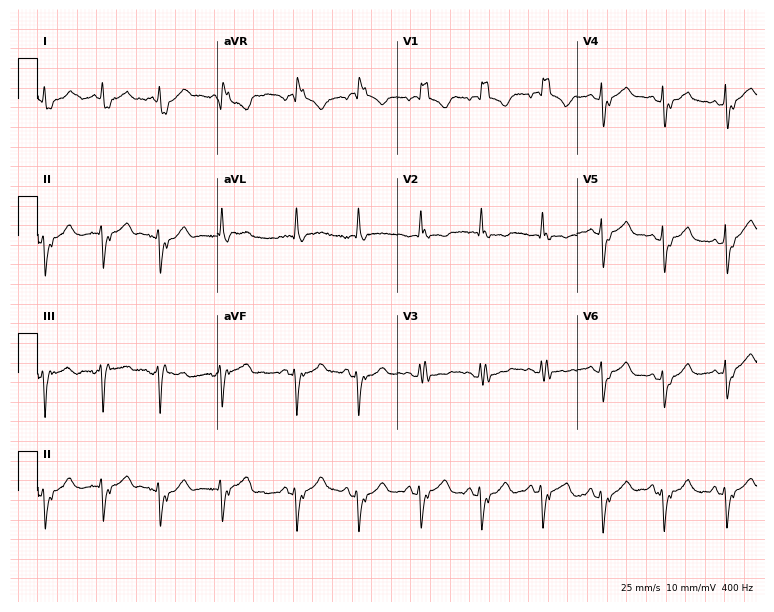
Resting 12-lead electrocardiogram. Patient: a female, 83 years old. None of these six findings is recorded: first-degree AV block, right bundle branch block, left bundle branch block, sinus bradycardia, atrial fibrillation, sinus tachycardia.